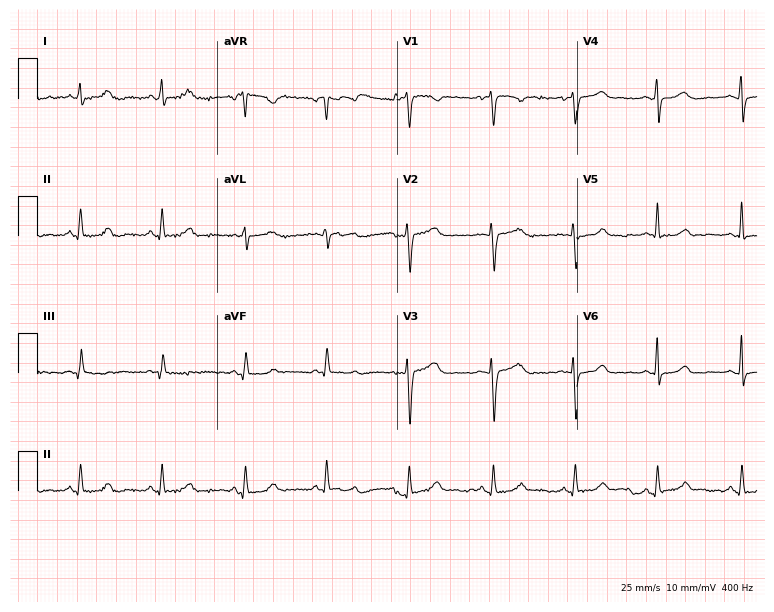
Electrocardiogram (7.3-second recording at 400 Hz), a 33-year-old female patient. Overall reading on record: normal ECG.